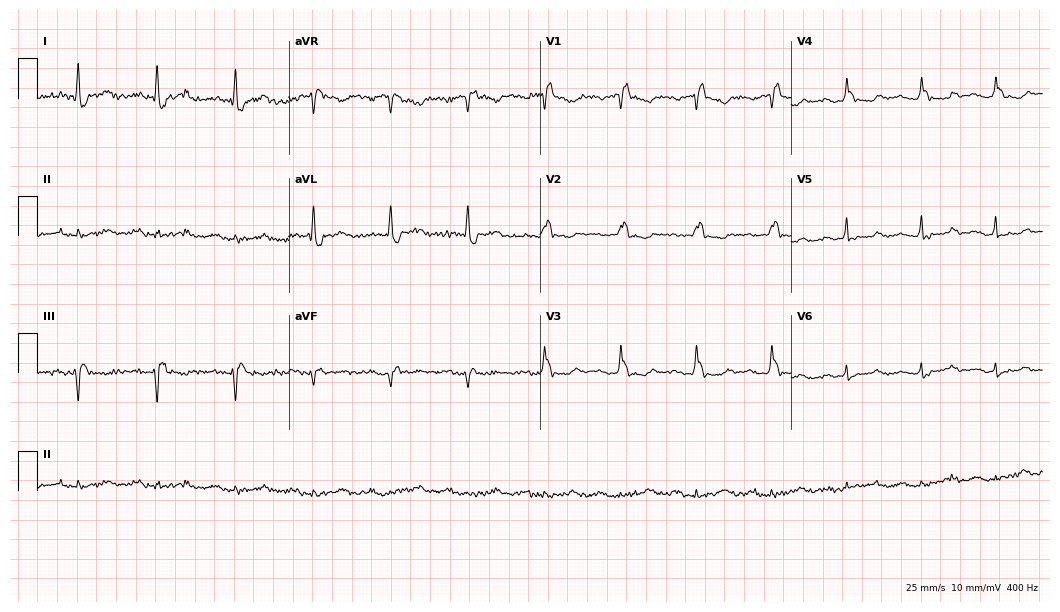
Electrocardiogram, an 85-year-old male patient. Interpretation includes first-degree AV block, right bundle branch block.